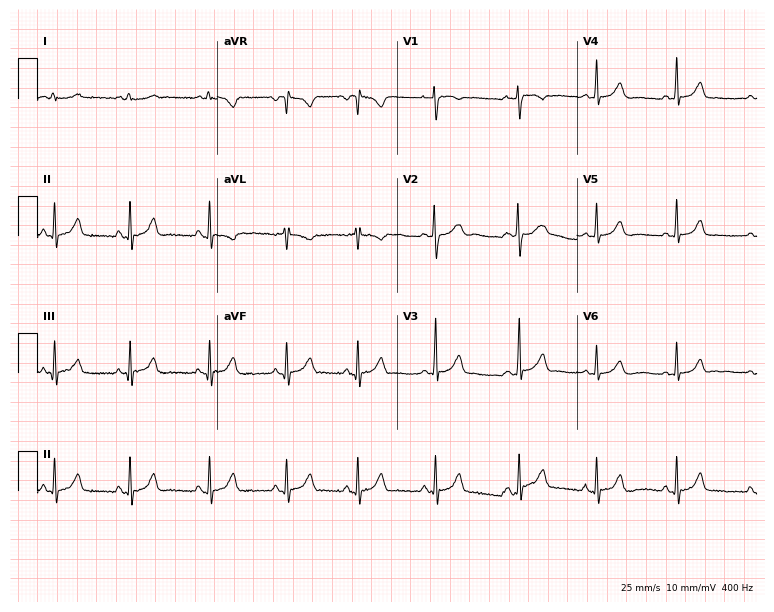
ECG (7.3-second recording at 400 Hz) — a 20-year-old female. Labelled as a normal ECG.